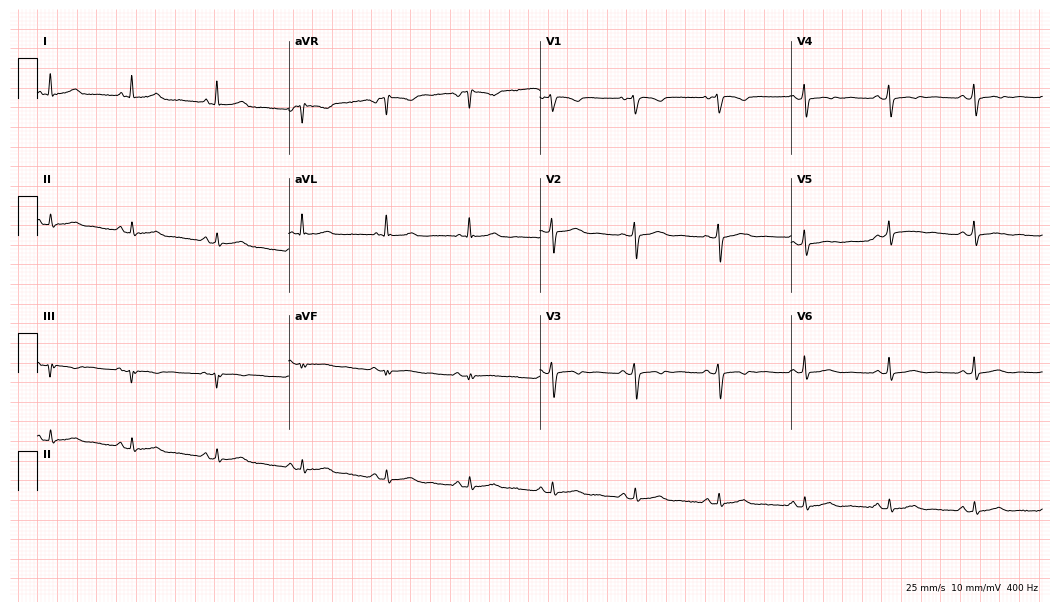
Resting 12-lead electrocardiogram (10.2-second recording at 400 Hz). Patient: a female, 42 years old. None of these six findings is recorded: first-degree AV block, right bundle branch block (RBBB), left bundle branch block (LBBB), sinus bradycardia, atrial fibrillation (AF), sinus tachycardia.